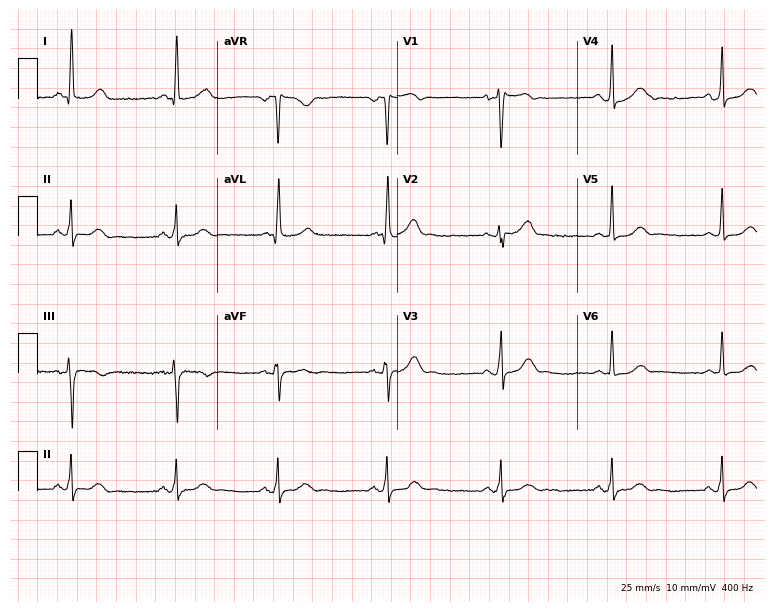
Electrocardiogram, a 71-year-old woman. Overall reading on record: normal ECG.